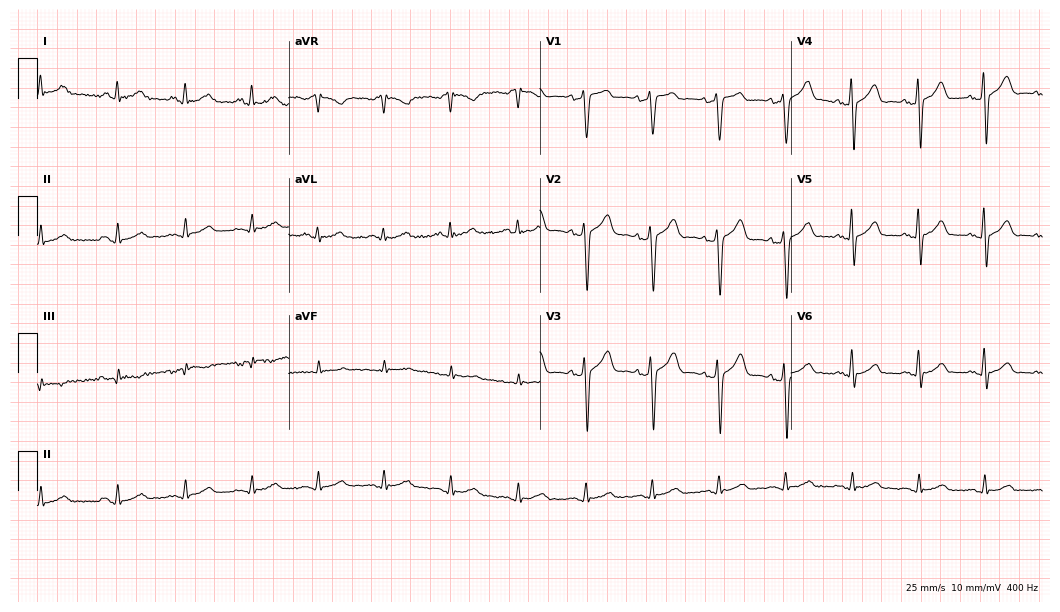
12-lead ECG from a man, 46 years old (10.2-second recording at 400 Hz). No first-degree AV block, right bundle branch block (RBBB), left bundle branch block (LBBB), sinus bradycardia, atrial fibrillation (AF) or sinus tachycardia recorded for this tracing.